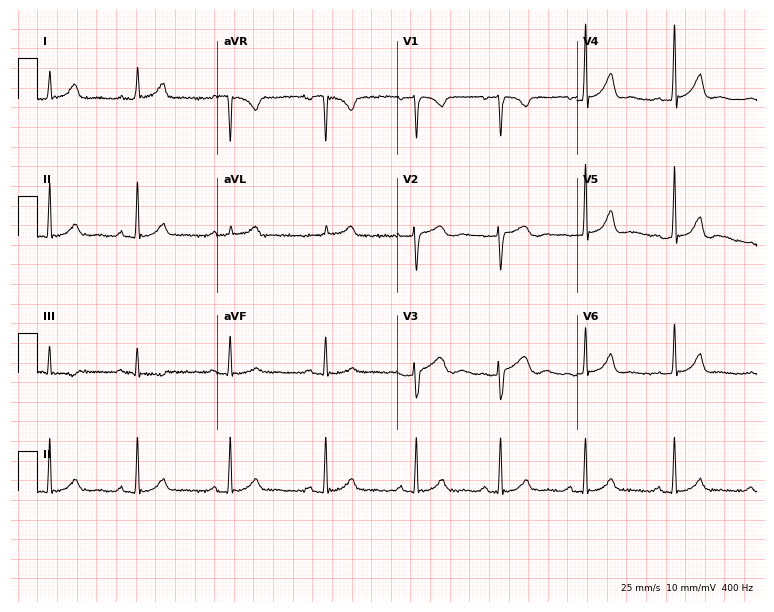
12-lead ECG from a female, 32 years old (7.3-second recording at 400 Hz). Recorded interpretation: within normal limits.